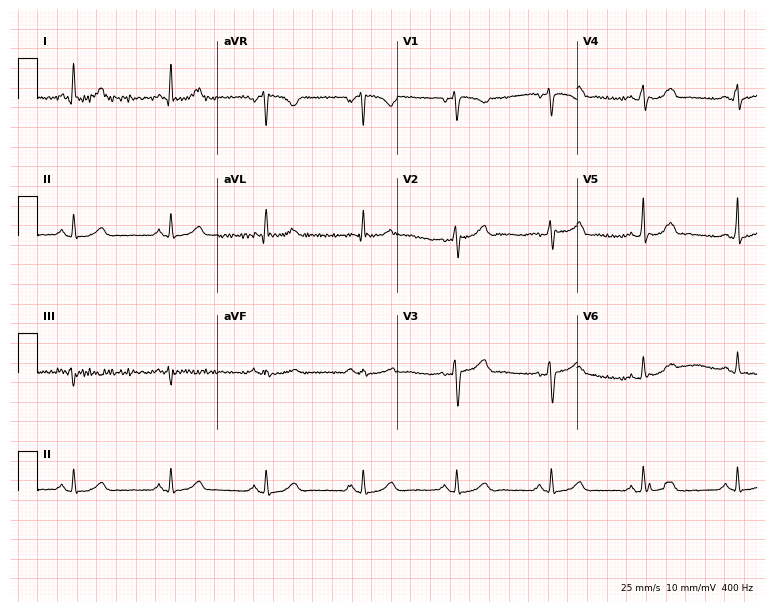
12-lead ECG from a woman, 49 years old (7.3-second recording at 400 Hz). Recorded interpretation: within normal limits.